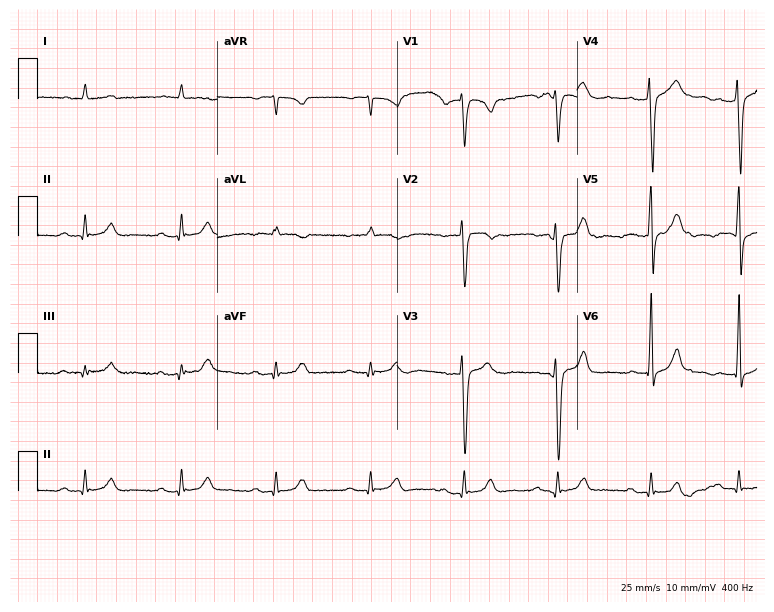
Resting 12-lead electrocardiogram (7.3-second recording at 400 Hz). Patient: a male, 51 years old. The tracing shows first-degree AV block.